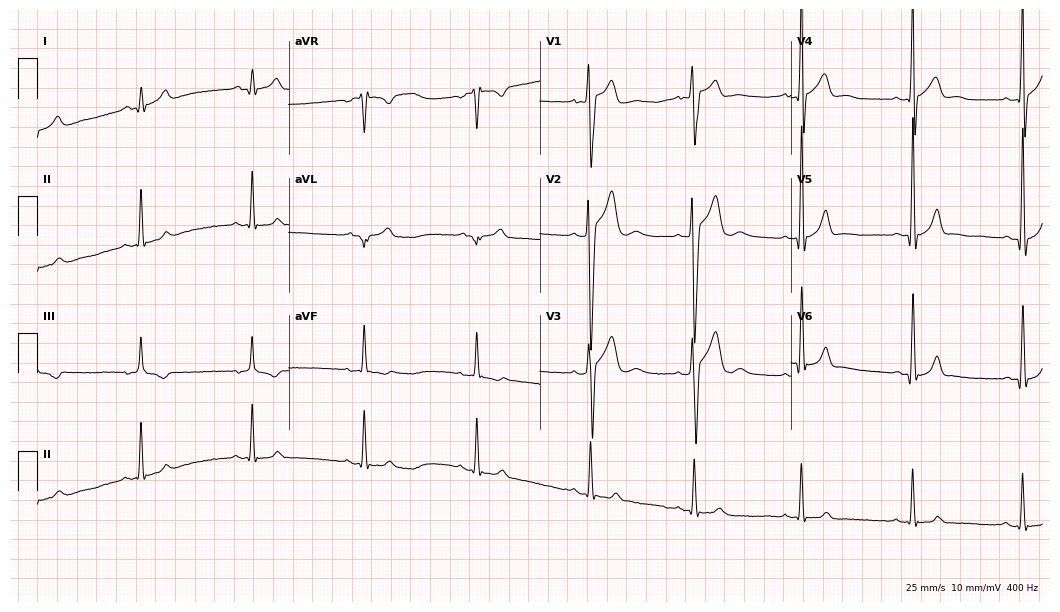
12-lead ECG (10.2-second recording at 400 Hz) from a 19-year-old male patient. Labelled as a normal ECG.